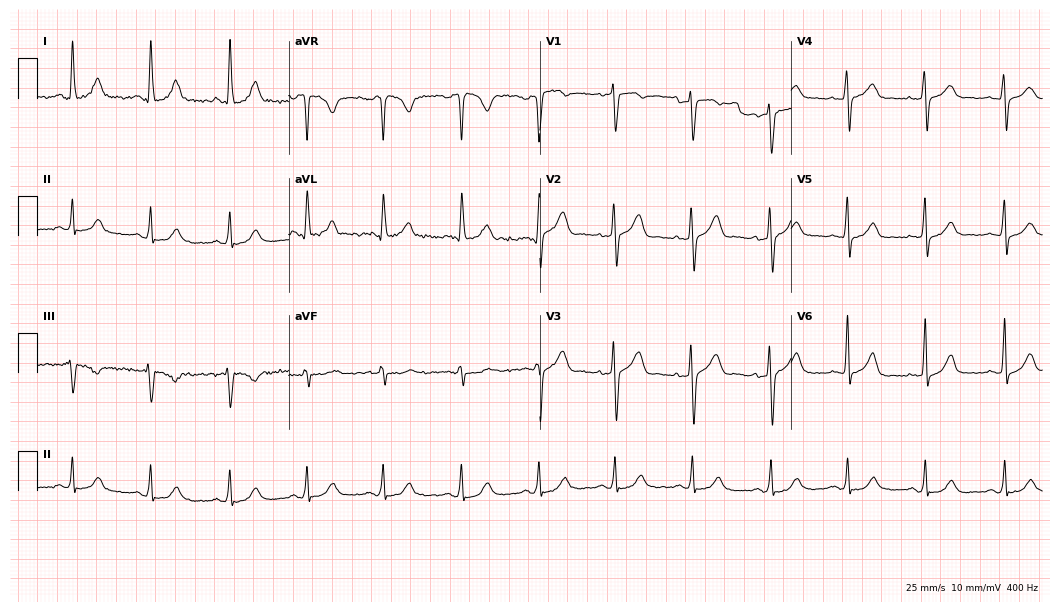
12-lead ECG from a woman, 40 years old. Recorded interpretation: within normal limits.